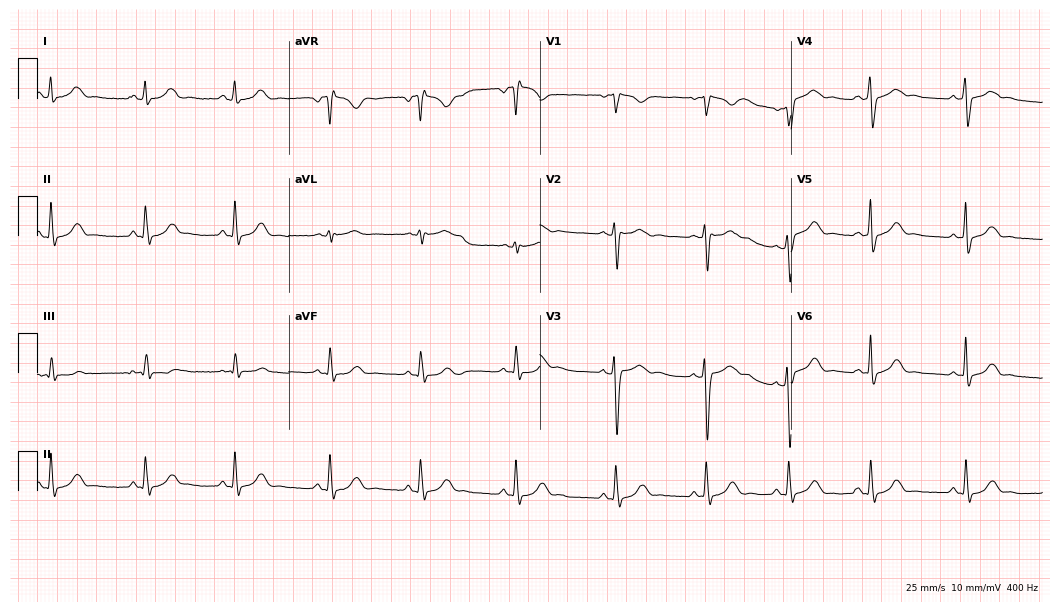
Electrocardiogram (10.2-second recording at 400 Hz), a 29-year-old female patient. Of the six screened findings (first-degree AV block, right bundle branch block (RBBB), left bundle branch block (LBBB), sinus bradycardia, atrial fibrillation (AF), sinus tachycardia), none is recorded. Findings outside these six are not listed.